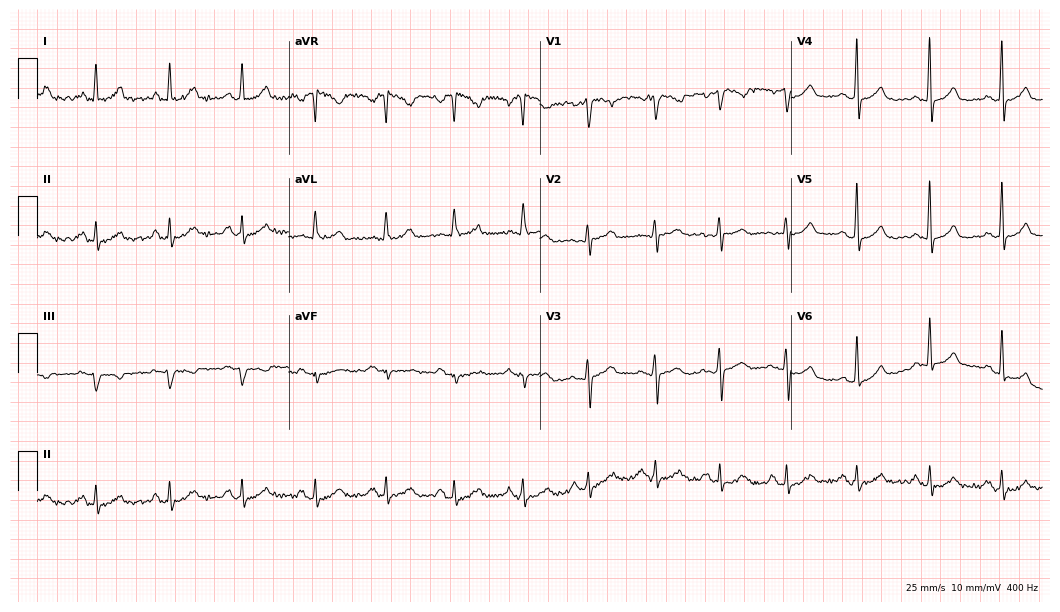
Electrocardiogram (10.2-second recording at 400 Hz), a 39-year-old female patient. Overall reading on record: normal ECG.